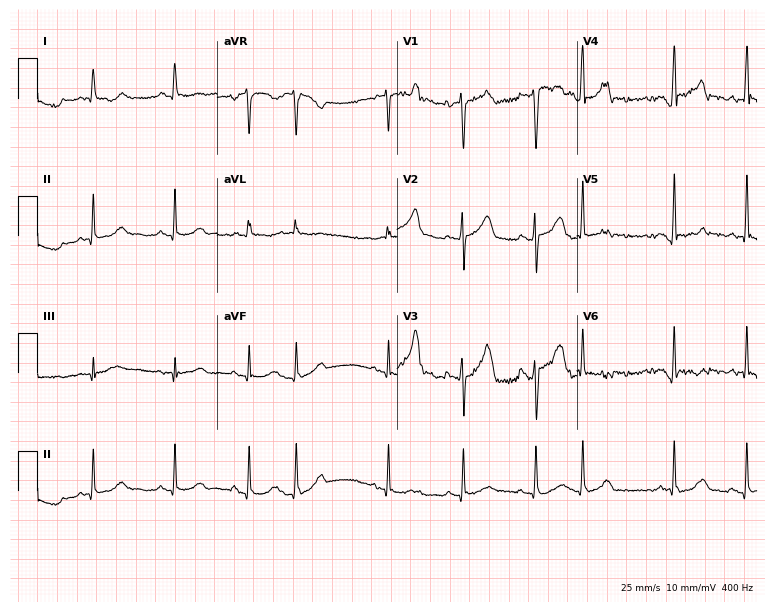
Resting 12-lead electrocardiogram (7.3-second recording at 400 Hz). Patient: a 54-year-old man. None of these six findings is recorded: first-degree AV block, right bundle branch block, left bundle branch block, sinus bradycardia, atrial fibrillation, sinus tachycardia.